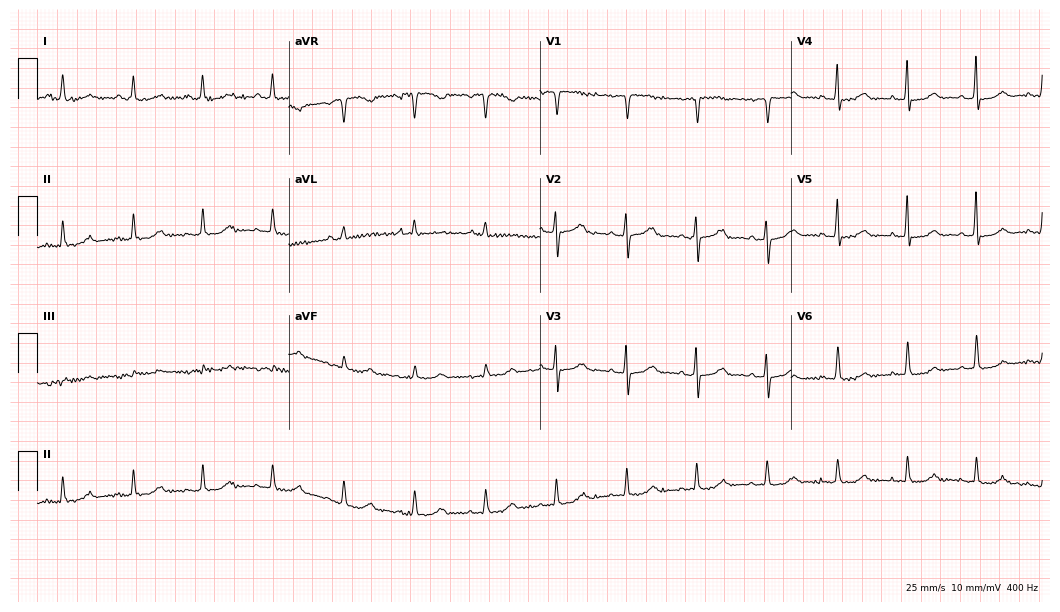
12-lead ECG from a woman, 72 years old (10.2-second recording at 400 Hz). Recorded interpretation: within normal limits.